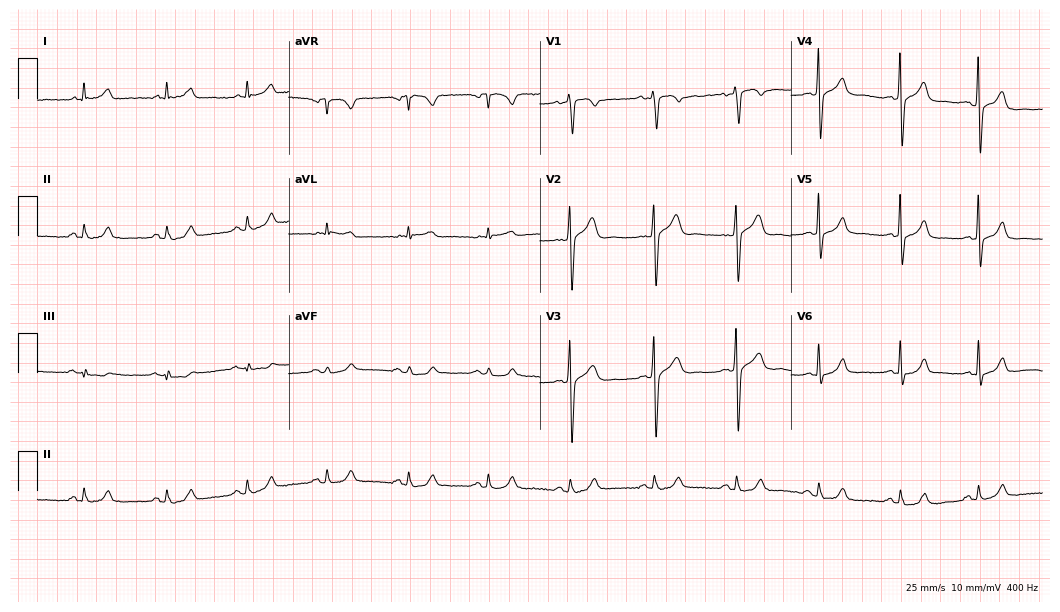
Electrocardiogram (10.2-second recording at 400 Hz), a 52-year-old man. Overall reading on record: normal ECG.